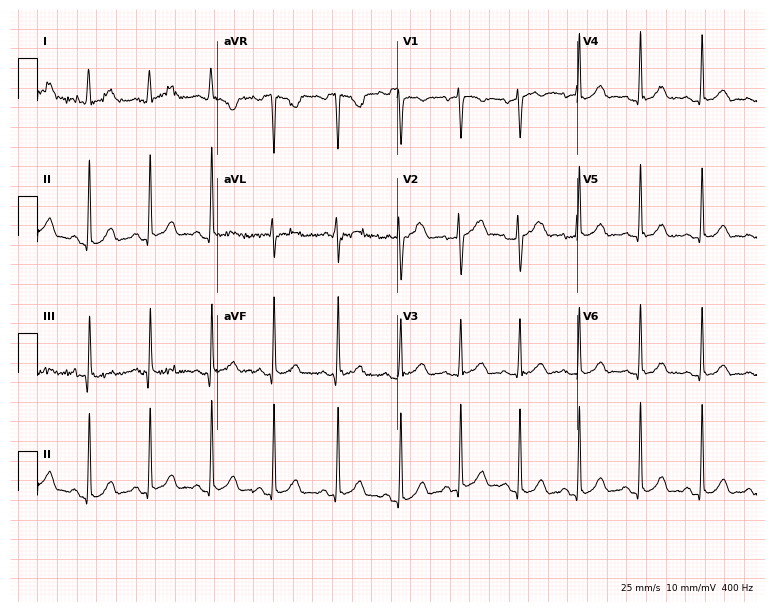
Resting 12-lead electrocardiogram (7.3-second recording at 400 Hz). Patient: a 23-year-old female. Read as a normal ECG.